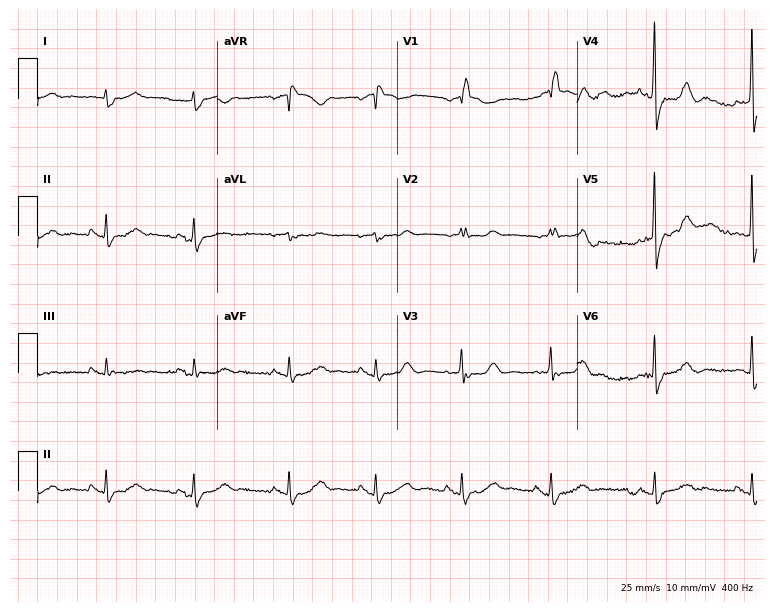
12-lead ECG (7.3-second recording at 400 Hz) from a 74-year-old male patient. Screened for six findings — first-degree AV block, right bundle branch block, left bundle branch block, sinus bradycardia, atrial fibrillation, sinus tachycardia — none is recorded. Only these six findings were labelled.